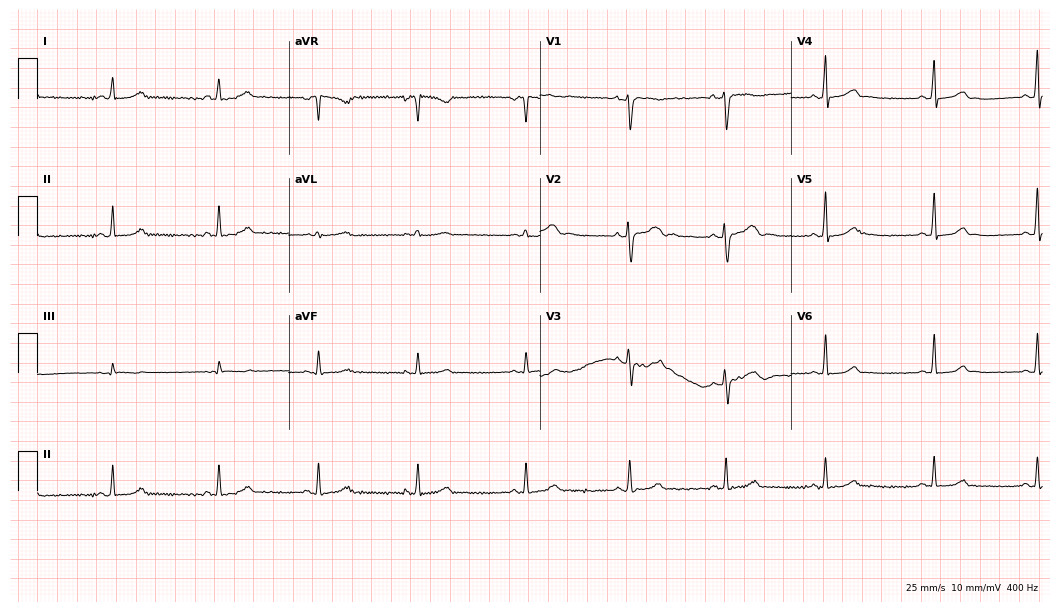
Resting 12-lead electrocardiogram (10.2-second recording at 400 Hz). Patient: a woman, 31 years old. Read as a normal ECG.